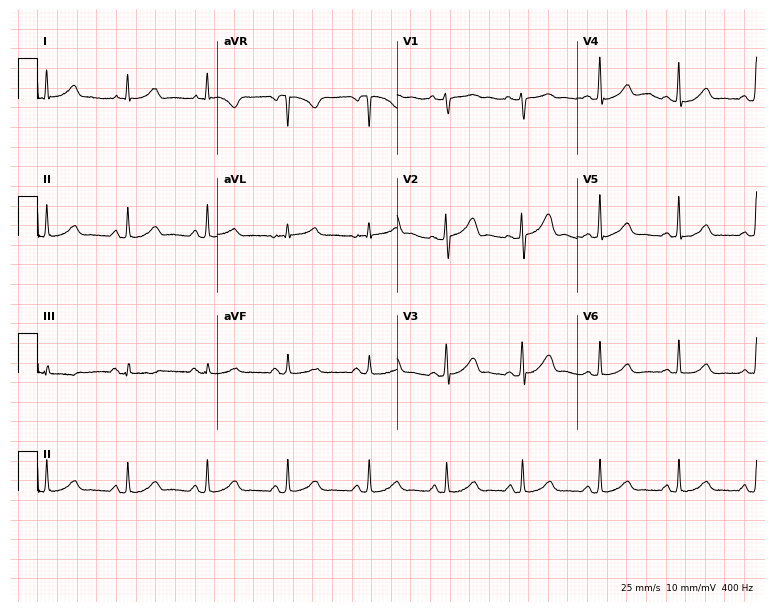
Resting 12-lead electrocardiogram (7.3-second recording at 400 Hz). Patient: a woman, 45 years old. Read as a normal ECG.